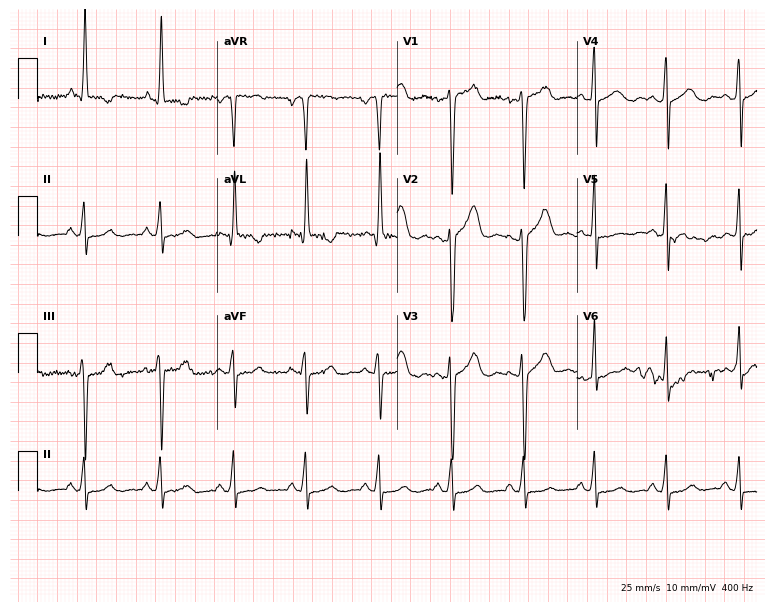
Electrocardiogram, a 51-year-old woman. Of the six screened findings (first-degree AV block, right bundle branch block (RBBB), left bundle branch block (LBBB), sinus bradycardia, atrial fibrillation (AF), sinus tachycardia), none is recorded. Other findings, if any, are not listed.